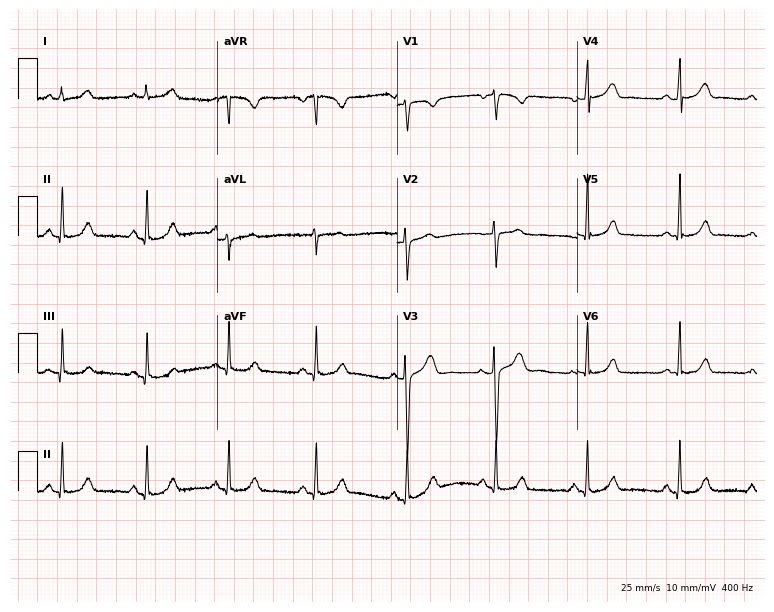
Standard 12-lead ECG recorded from a female, 22 years old (7.3-second recording at 400 Hz). Read as a normal ECG.